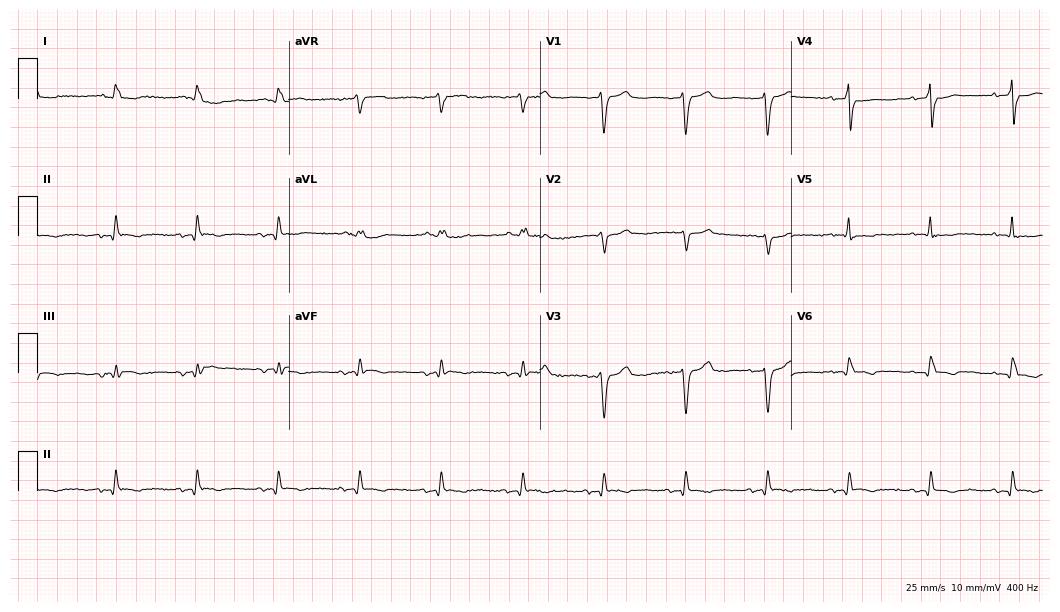
12-lead ECG from a female patient, 77 years old (10.2-second recording at 400 Hz). No first-degree AV block, right bundle branch block, left bundle branch block, sinus bradycardia, atrial fibrillation or sinus tachycardia recorded for this tracing. Findings outside these six are not listed.